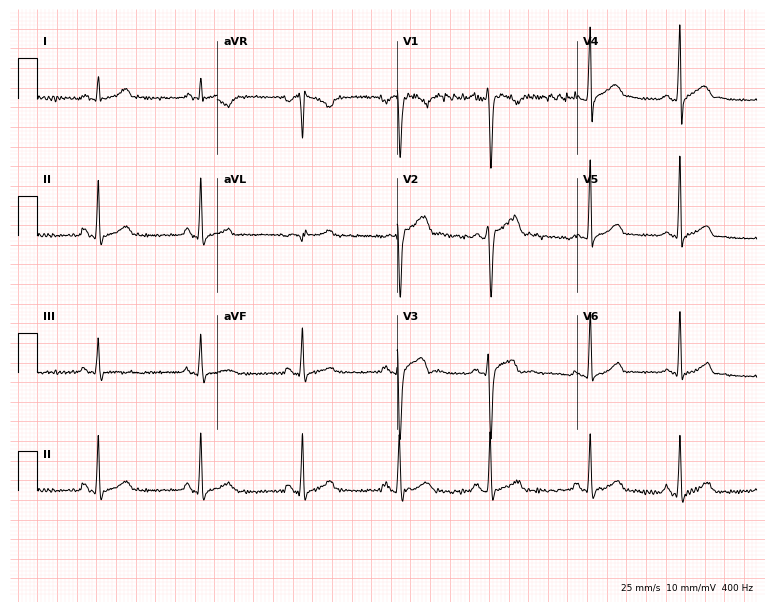
12-lead ECG from a male, 21 years old (7.3-second recording at 400 Hz). Recorded interpretation: within normal limits.